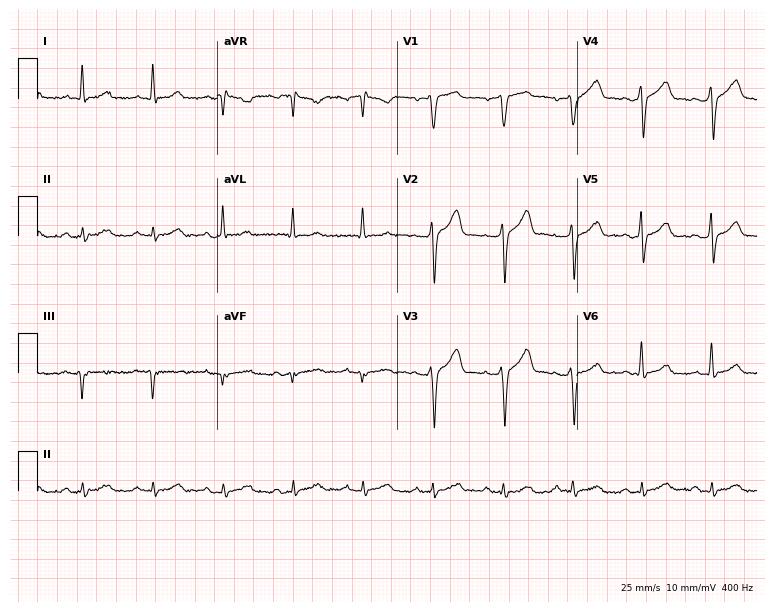
12-lead ECG from a 50-year-old man (7.3-second recording at 400 Hz). No first-degree AV block, right bundle branch block, left bundle branch block, sinus bradycardia, atrial fibrillation or sinus tachycardia recorded for this tracing.